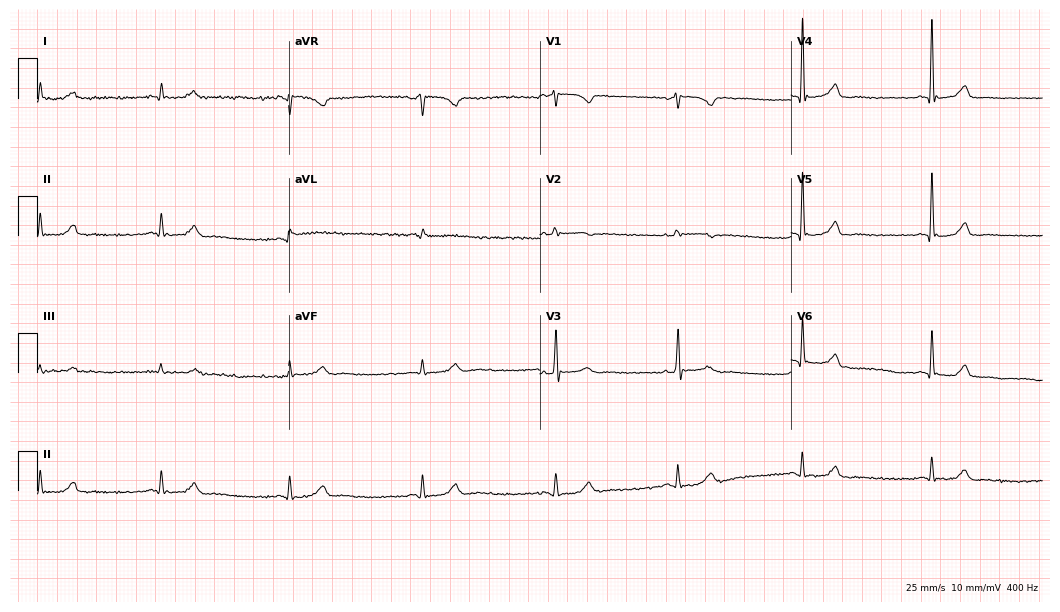
ECG — a man, 77 years old. Findings include sinus bradycardia (a sinus rate of 50 beats per minute or less).